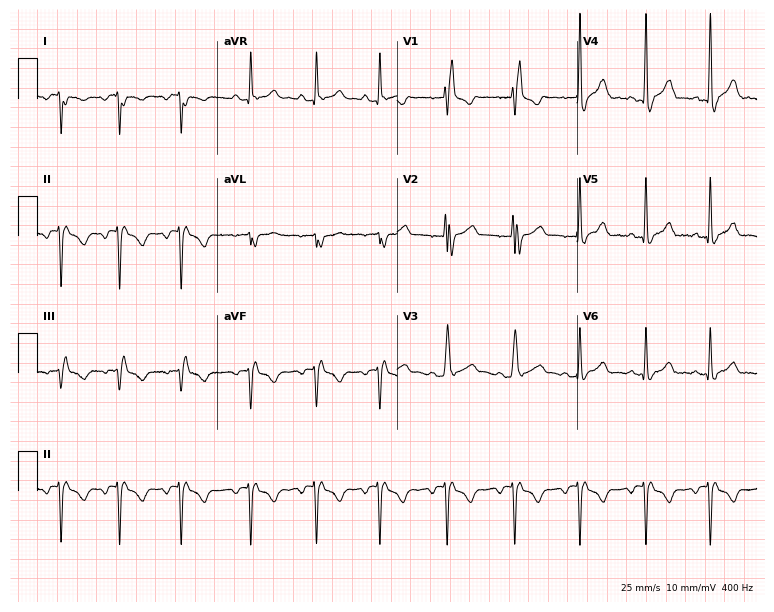
Electrocardiogram (7.3-second recording at 400 Hz), a man, 33 years old. Of the six screened findings (first-degree AV block, right bundle branch block, left bundle branch block, sinus bradycardia, atrial fibrillation, sinus tachycardia), none is recorded. Only these six findings were labelled.